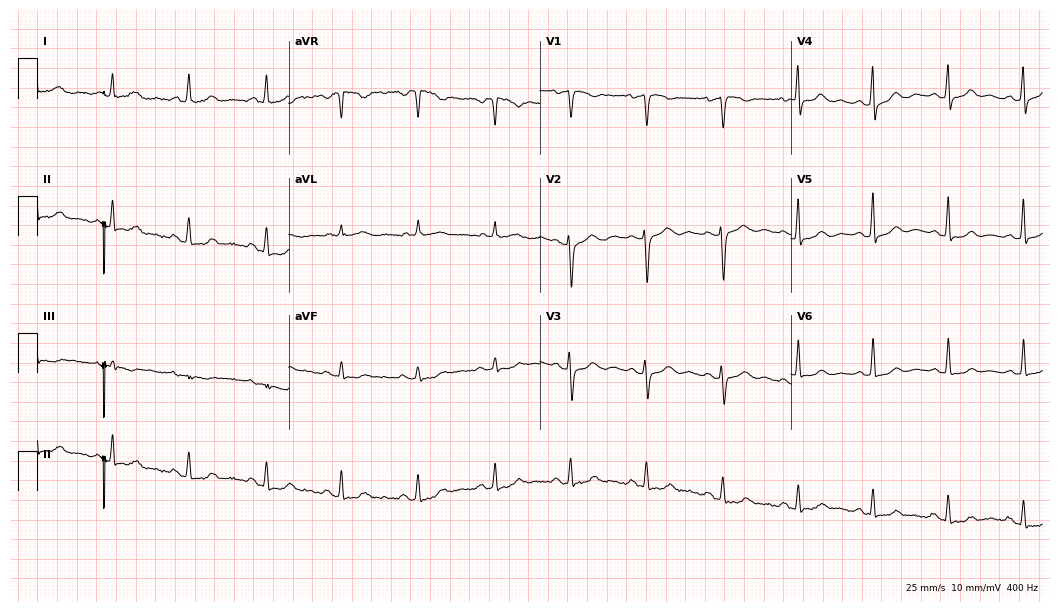
Standard 12-lead ECG recorded from a 68-year-old woman. Read as a normal ECG.